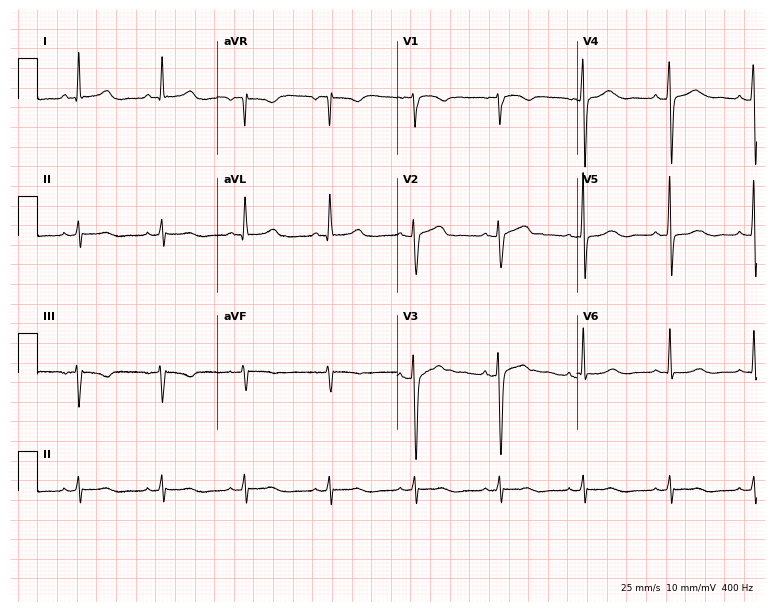
Resting 12-lead electrocardiogram (7.3-second recording at 400 Hz). Patient: a female, 55 years old. None of these six findings is recorded: first-degree AV block, right bundle branch block, left bundle branch block, sinus bradycardia, atrial fibrillation, sinus tachycardia. Only these six findings were labelled.